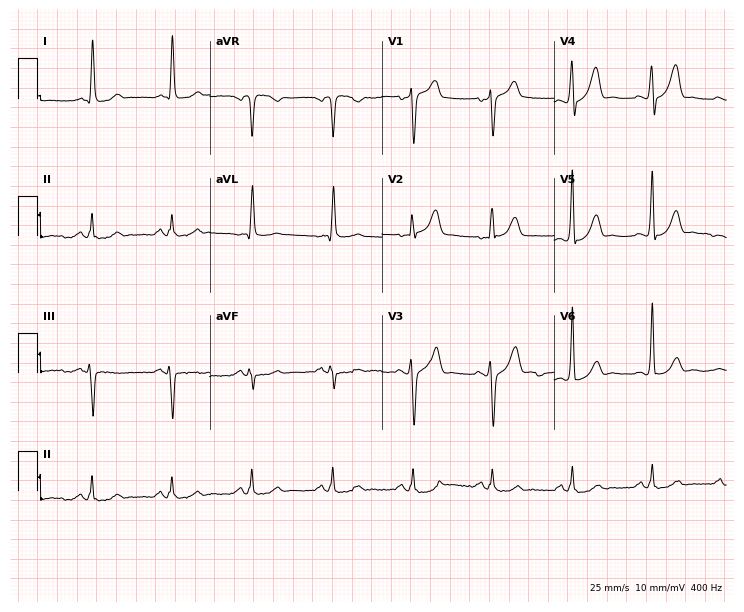
ECG (7-second recording at 400 Hz) — a man, 70 years old. Labelled as a normal ECG.